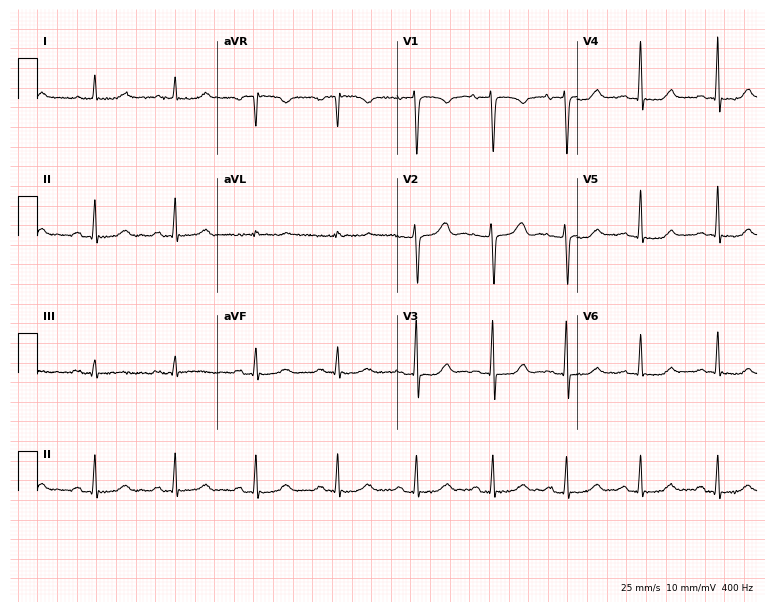
12-lead ECG from a woman, 56 years old. Screened for six findings — first-degree AV block, right bundle branch block, left bundle branch block, sinus bradycardia, atrial fibrillation, sinus tachycardia — none is recorded.